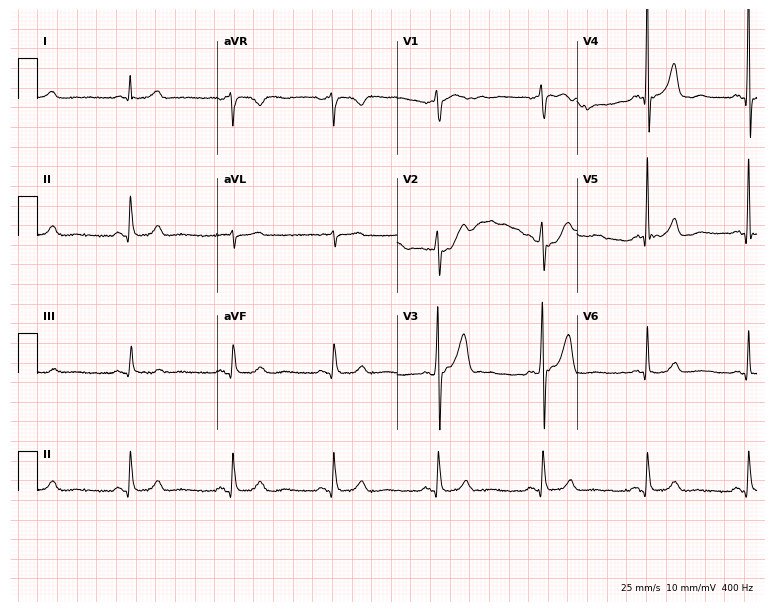
ECG (7.3-second recording at 400 Hz) — a 68-year-old male patient. Labelled as a normal ECG.